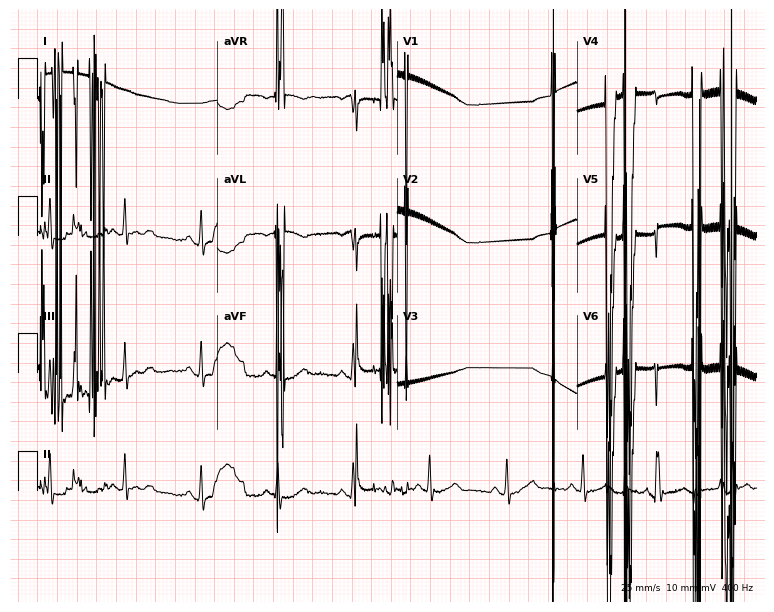
Resting 12-lead electrocardiogram. Patient: a man, 61 years old. None of these six findings is recorded: first-degree AV block, right bundle branch block (RBBB), left bundle branch block (LBBB), sinus bradycardia, atrial fibrillation (AF), sinus tachycardia. Other findings, if any, are not listed.